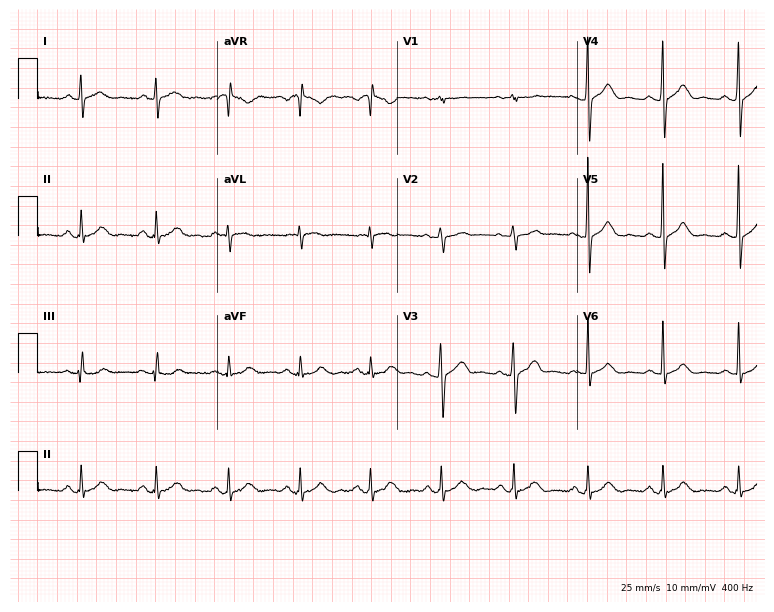
12-lead ECG from a male patient, 45 years old (7.3-second recording at 400 Hz). No first-degree AV block, right bundle branch block, left bundle branch block, sinus bradycardia, atrial fibrillation or sinus tachycardia recorded for this tracing. Only these six findings were labelled.